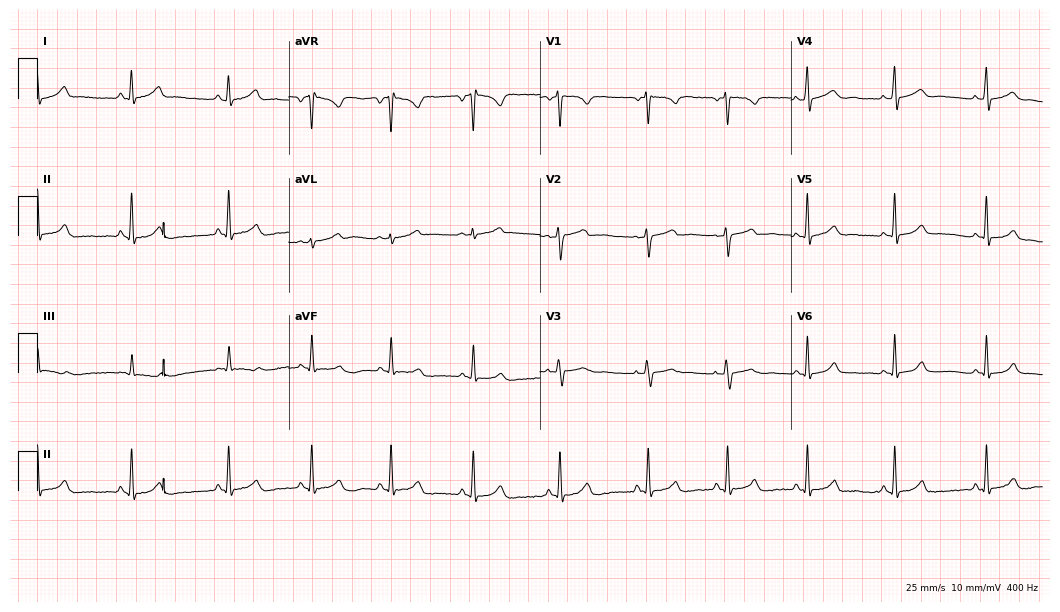
12-lead ECG (10.2-second recording at 400 Hz) from a 36-year-old female patient. Labelled as a normal ECG.